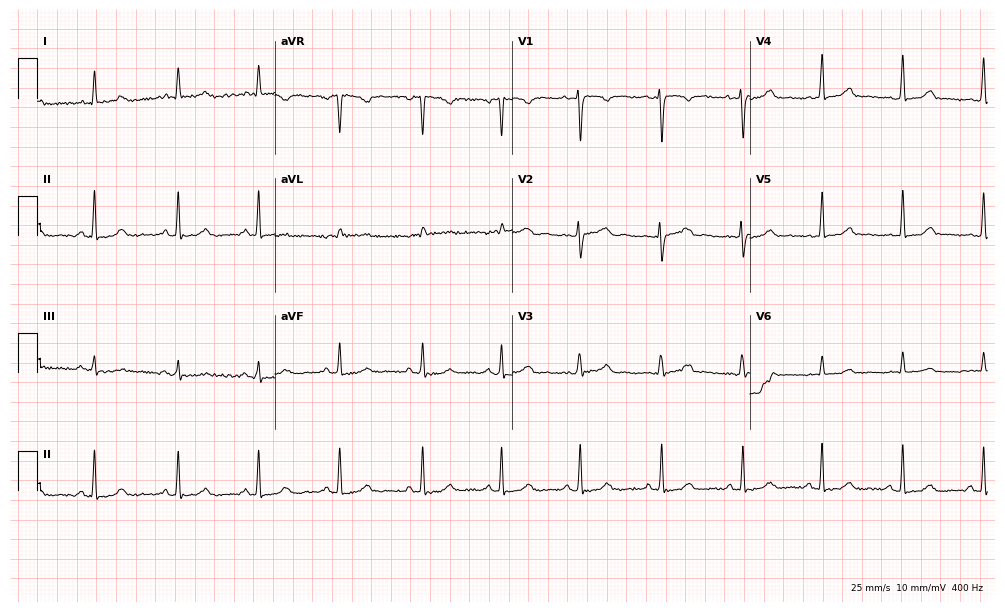
Electrocardiogram (9.7-second recording at 400 Hz), a 38-year-old female. Overall reading on record: normal ECG.